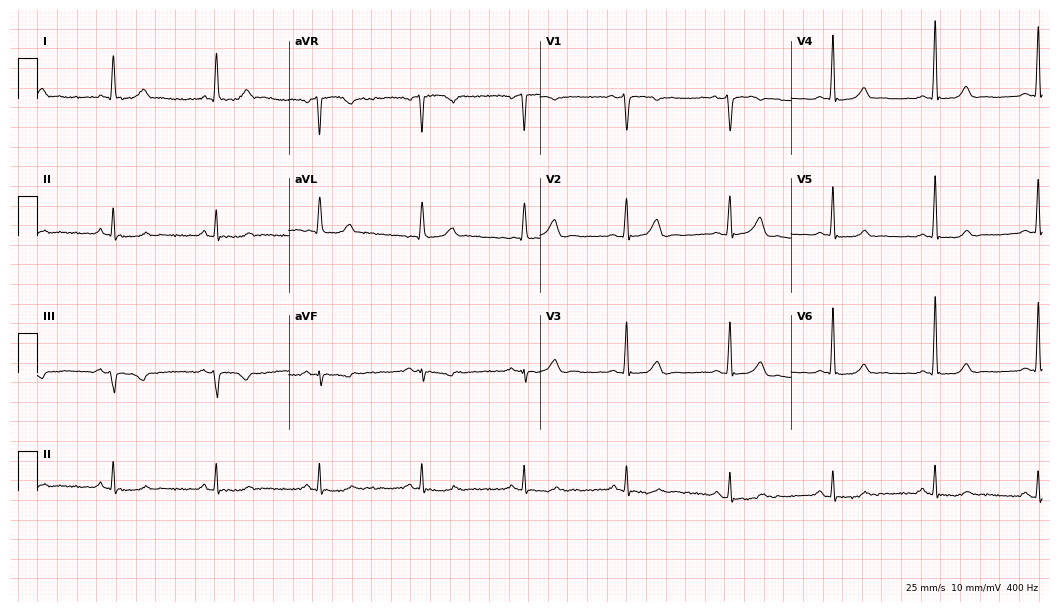
12-lead ECG (10.2-second recording at 400 Hz) from a 58-year-old female patient. Labelled as a normal ECG.